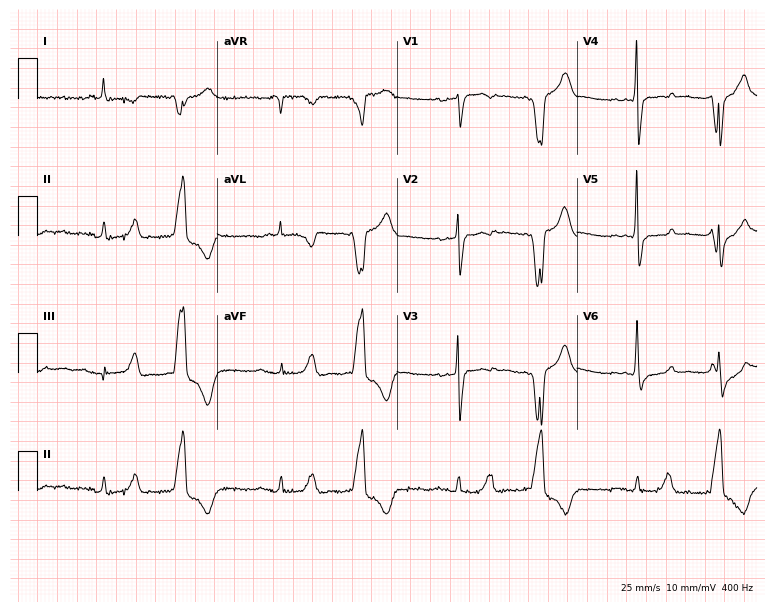
Resting 12-lead electrocardiogram. Patient: a male, 74 years old. Read as a normal ECG.